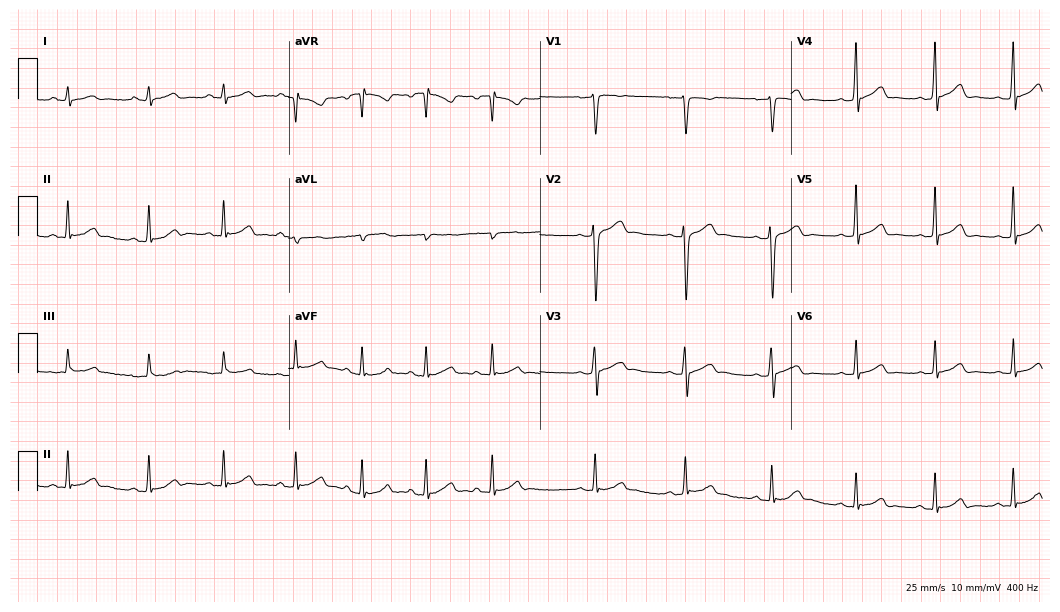
12-lead ECG (10.2-second recording at 400 Hz) from a male, 21 years old. Screened for six findings — first-degree AV block, right bundle branch block, left bundle branch block, sinus bradycardia, atrial fibrillation, sinus tachycardia — none is recorded.